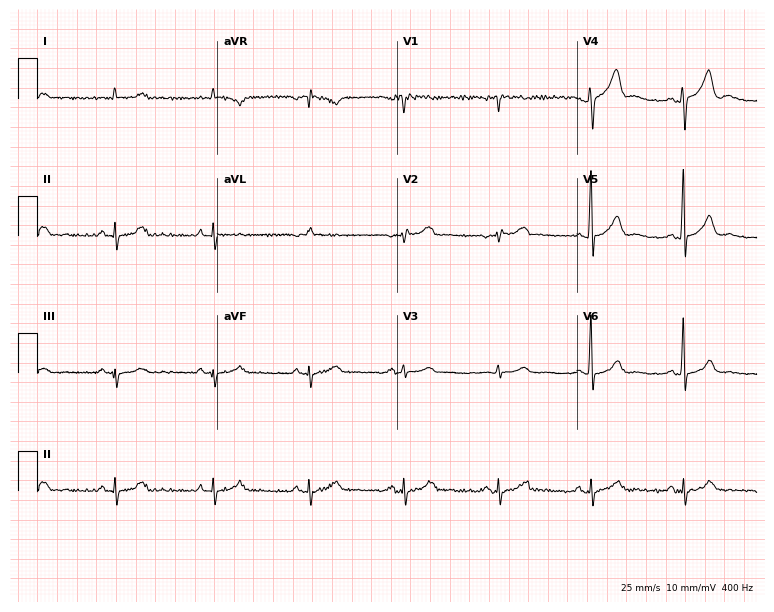
ECG — a 70-year-old man. Screened for six findings — first-degree AV block, right bundle branch block, left bundle branch block, sinus bradycardia, atrial fibrillation, sinus tachycardia — none is recorded.